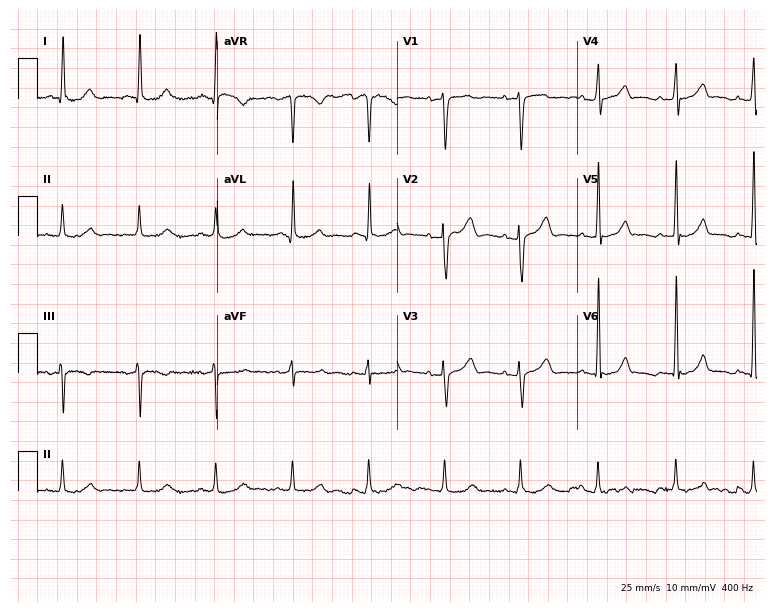
12-lead ECG from a 56-year-old male patient (7.3-second recording at 400 Hz). Recorded interpretation: within normal limits.